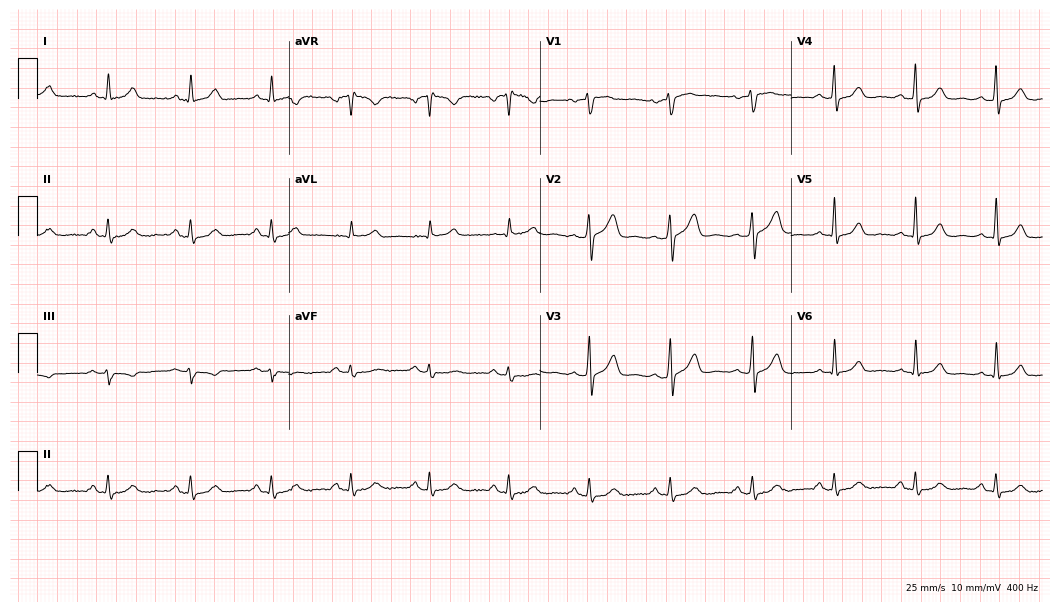
Electrocardiogram (10.2-second recording at 400 Hz), a man, 55 years old. Overall reading on record: normal ECG.